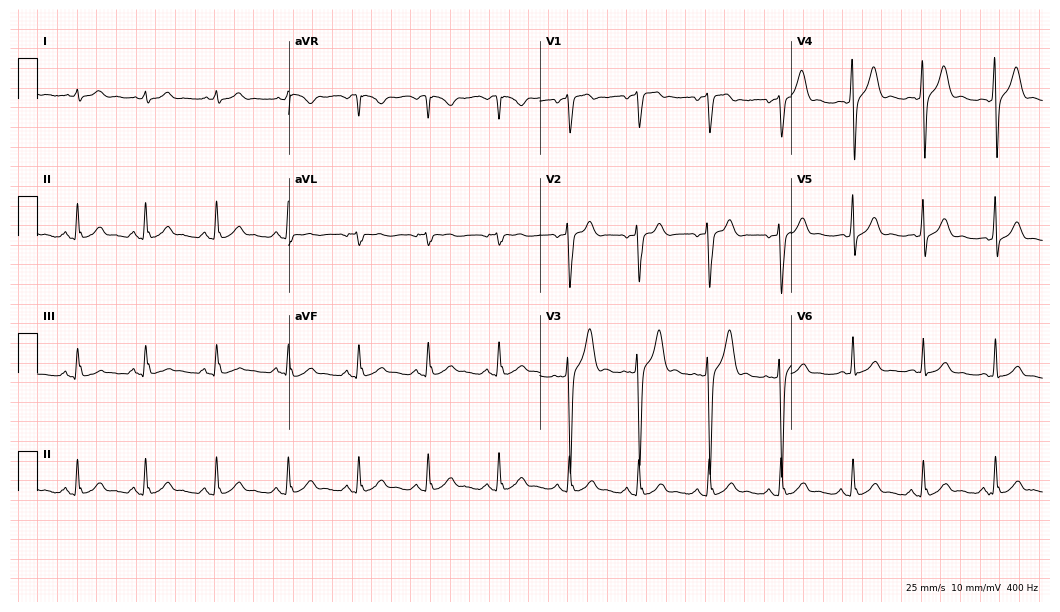
Resting 12-lead electrocardiogram (10.2-second recording at 400 Hz). Patient: a 24-year-old man. Read as a normal ECG.